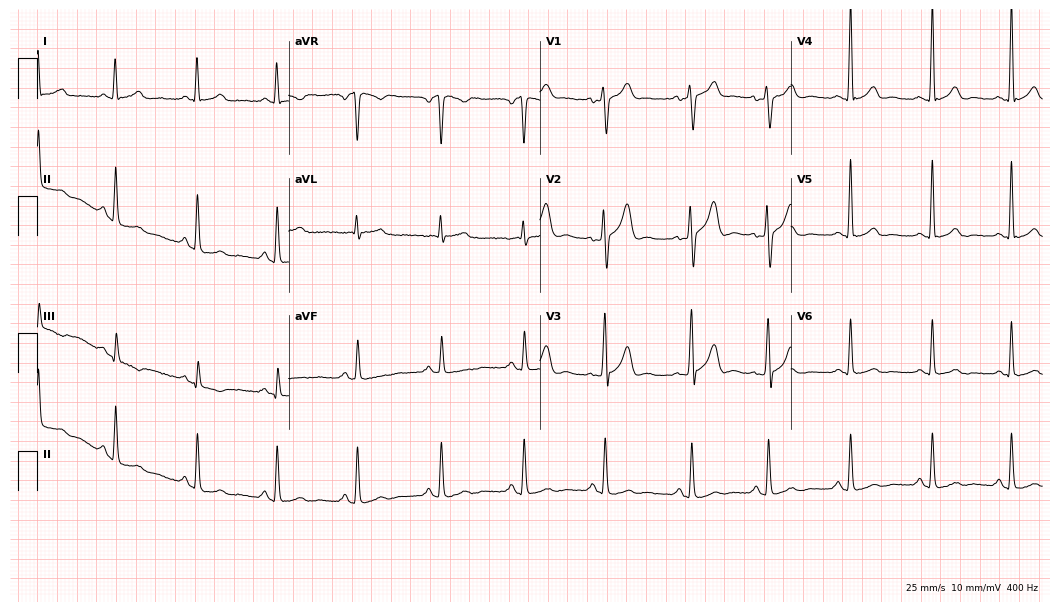
12-lead ECG from a 32-year-old male. Labelled as a normal ECG.